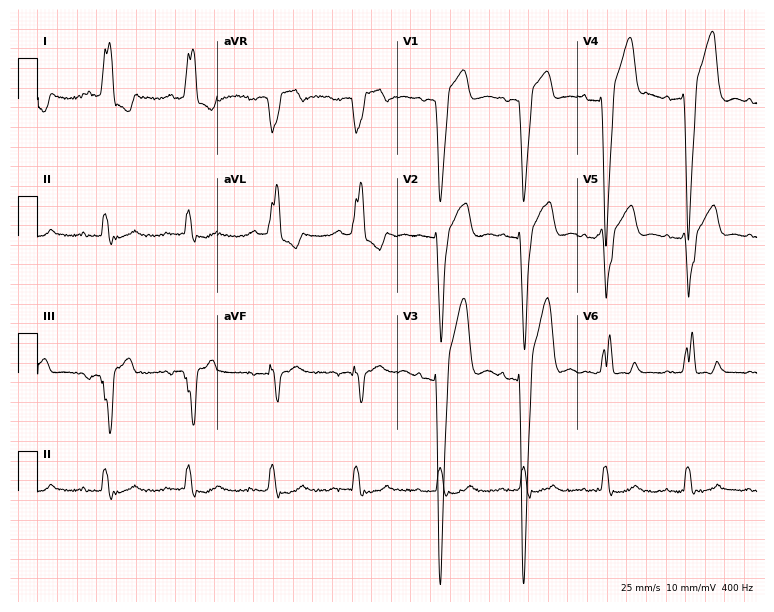
Resting 12-lead electrocardiogram (7.3-second recording at 400 Hz). Patient: a male, 72 years old. The tracing shows left bundle branch block.